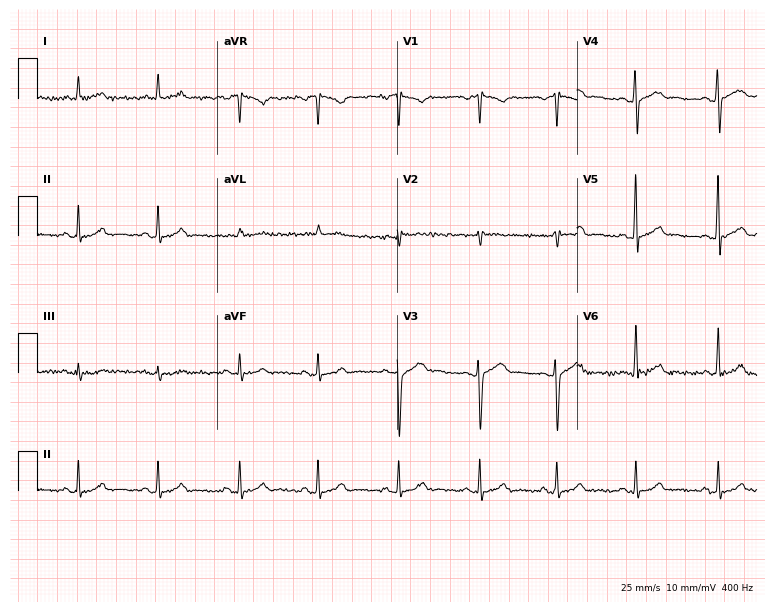
ECG (7.3-second recording at 400 Hz) — a 32-year-old male. Labelled as a normal ECG.